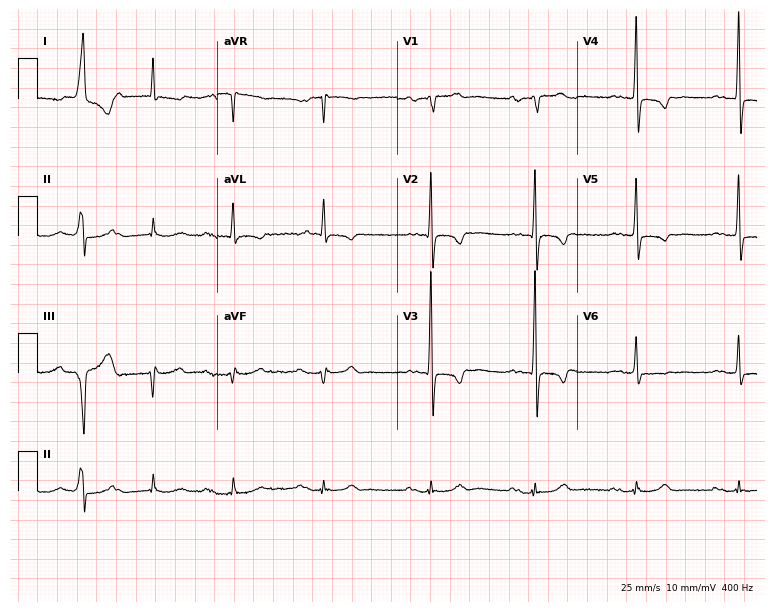
ECG (7.3-second recording at 400 Hz) — a male patient, 85 years old. Screened for six findings — first-degree AV block, right bundle branch block (RBBB), left bundle branch block (LBBB), sinus bradycardia, atrial fibrillation (AF), sinus tachycardia — none is recorded. Findings outside these six are not listed.